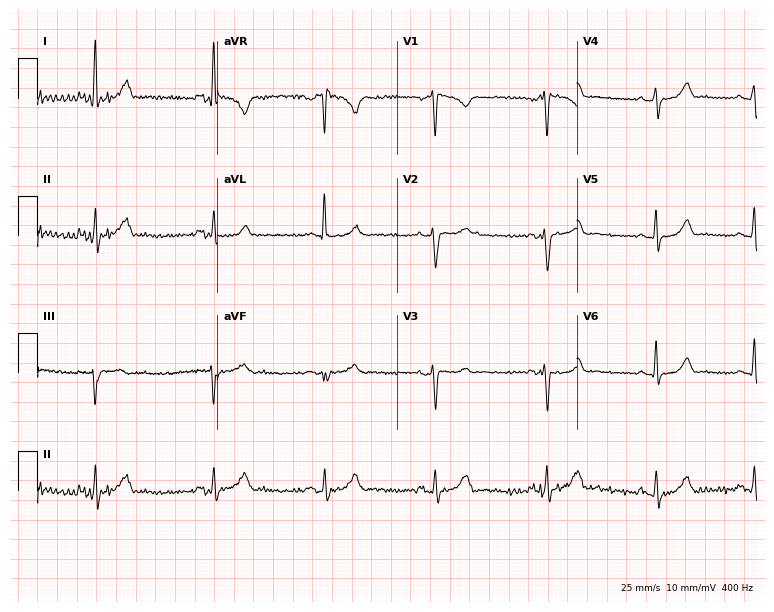
ECG (7.3-second recording at 400 Hz) — a woman, 35 years old. Labelled as a normal ECG.